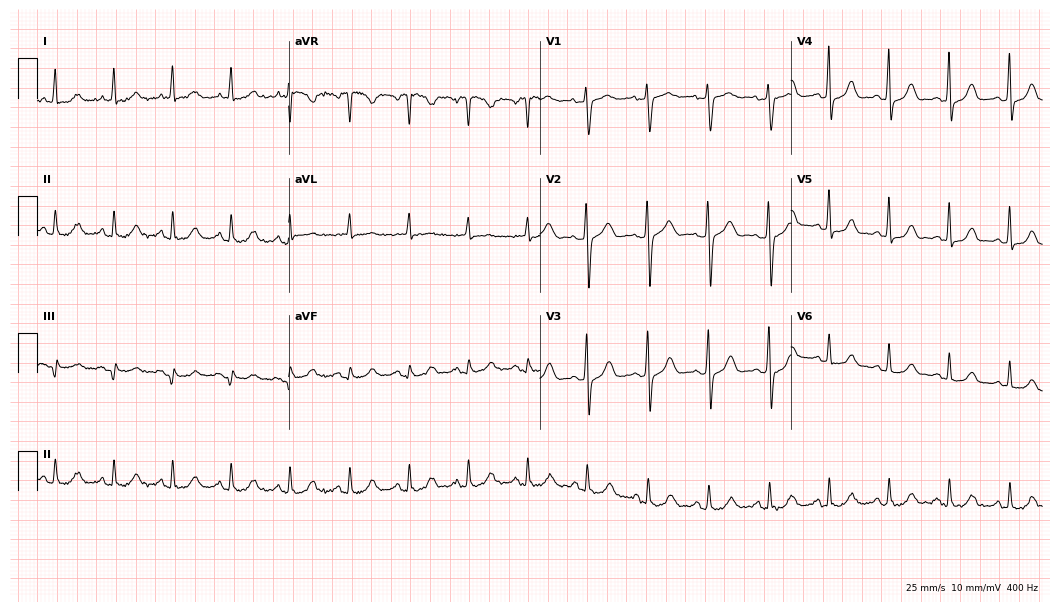
12-lead ECG from a female patient, 67 years old. Screened for six findings — first-degree AV block, right bundle branch block, left bundle branch block, sinus bradycardia, atrial fibrillation, sinus tachycardia — none is recorded.